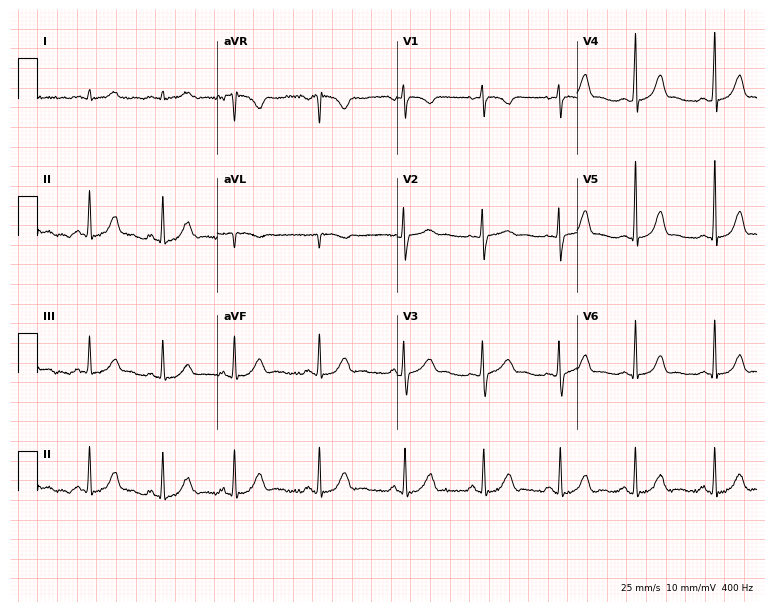
ECG — a 22-year-old female patient. Labelled as a normal ECG.